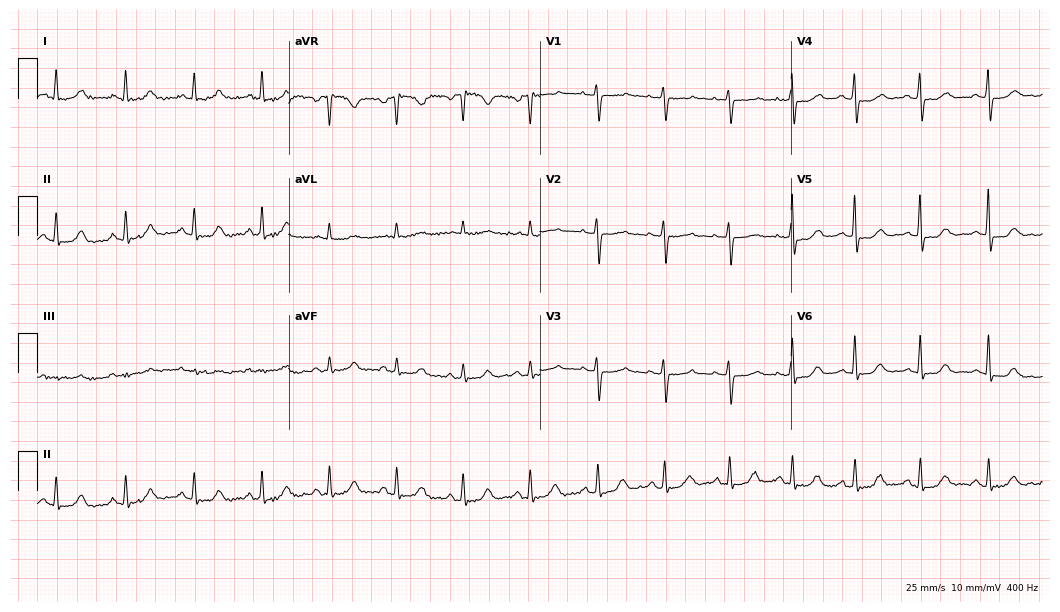
Electrocardiogram (10.2-second recording at 400 Hz), a female, 45 years old. Of the six screened findings (first-degree AV block, right bundle branch block, left bundle branch block, sinus bradycardia, atrial fibrillation, sinus tachycardia), none is recorded.